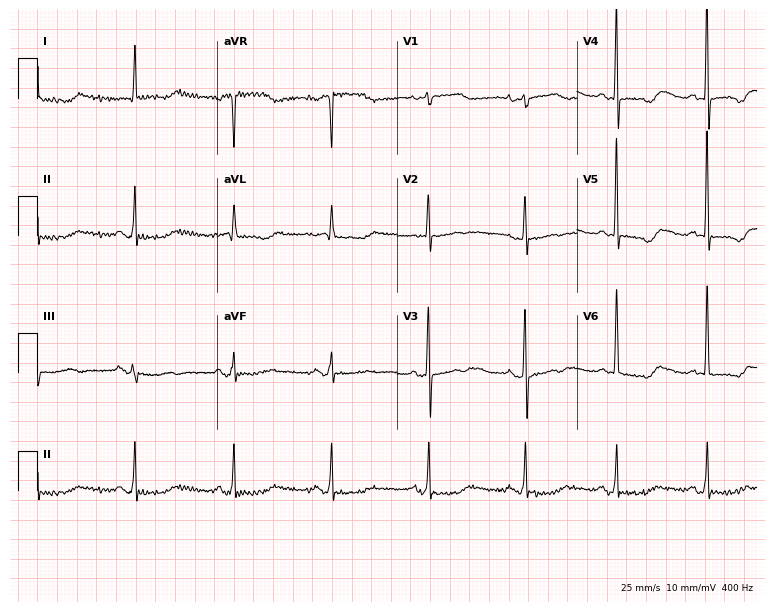
12-lead ECG (7.3-second recording at 400 Hz) from a female patient, 74 years old. Screened for six findings — first-degree AV block, right bundle branch block (RBBB), left bundle branch block (LBBB), sinus bradycardia, atrial fibrillation (AF), sinus tachycardia — none is recorded. Other findings, if any, are not listed.